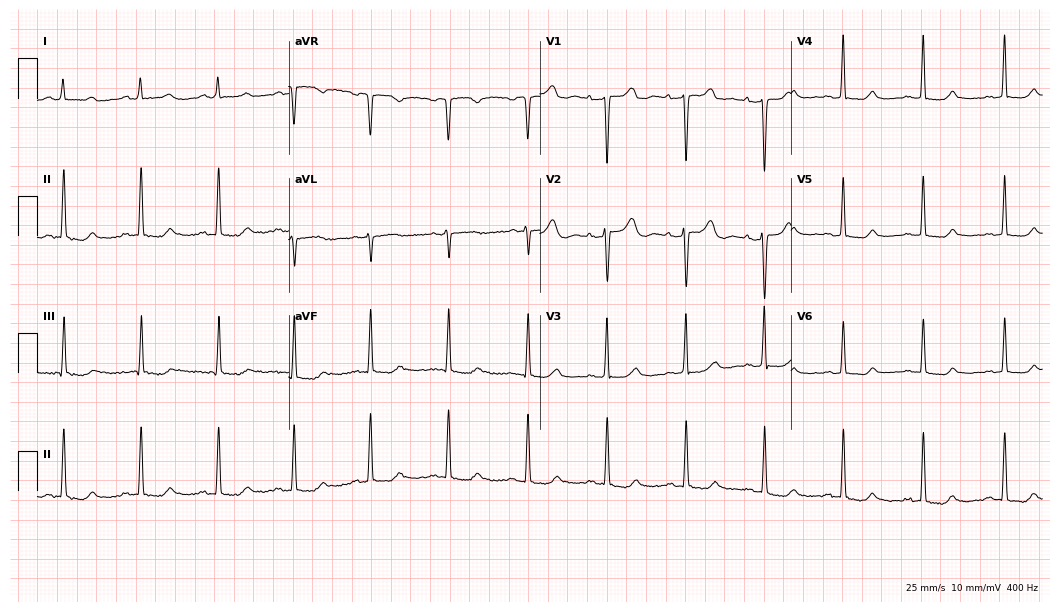
Electrocardiogram (10.2-second recording at 400 Hz), a female, 50 years old. Overall reading on record: normal ECG.